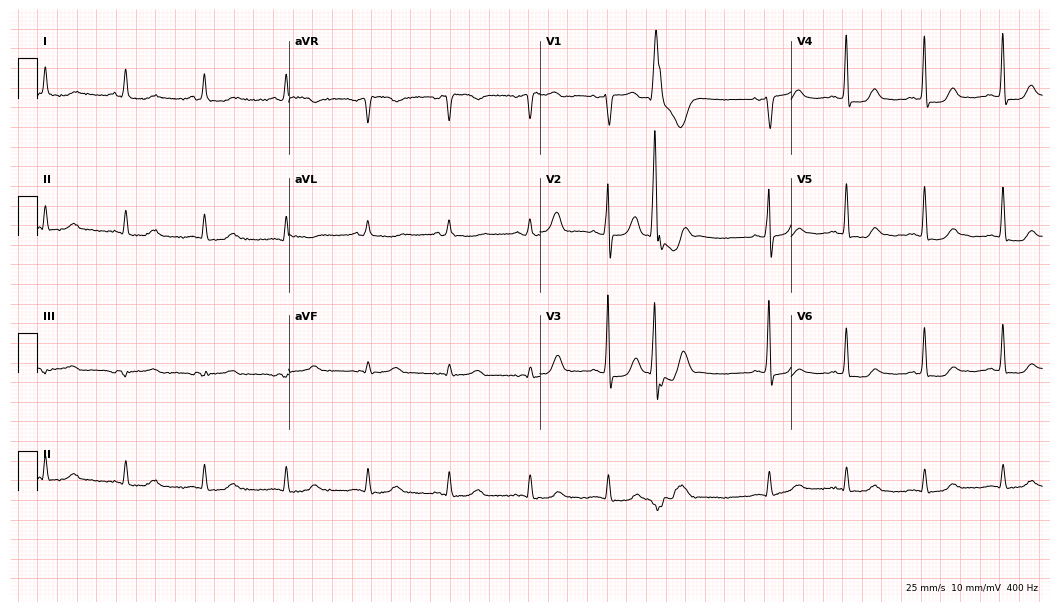
Resting 12-lead electrocardiogram. Patient: an 83-year-old woman. None of these six findings is recorded: first-degree AV block, right bundle branch block, left bundle branch block, sinus bradycardia, atrial fibrillation, sinus tachycardia.